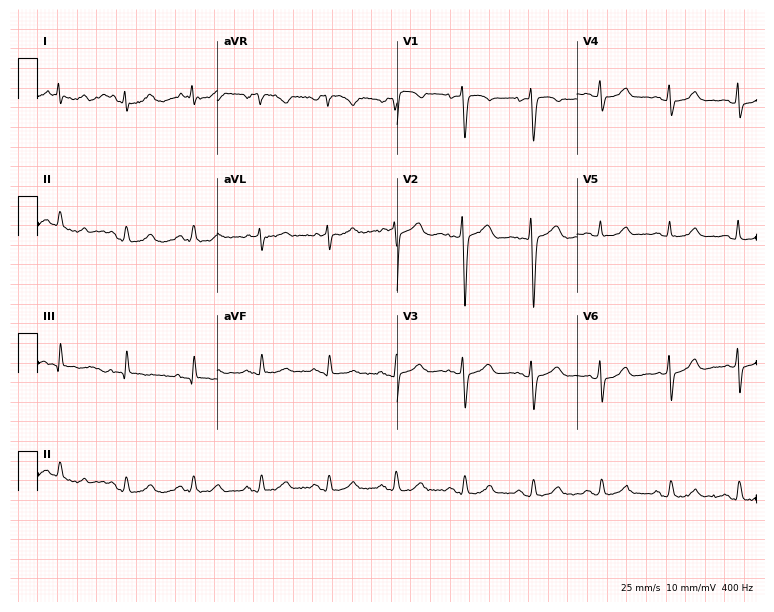
Resting 12-lead electrocardiogram. Patient: a 57-year-old female. None of these six findings is recorded: first-degree AV block, right bundle branch block, left bundle branch block, sinus bradycardia, atrial fibrillation, sinus tachycardia.